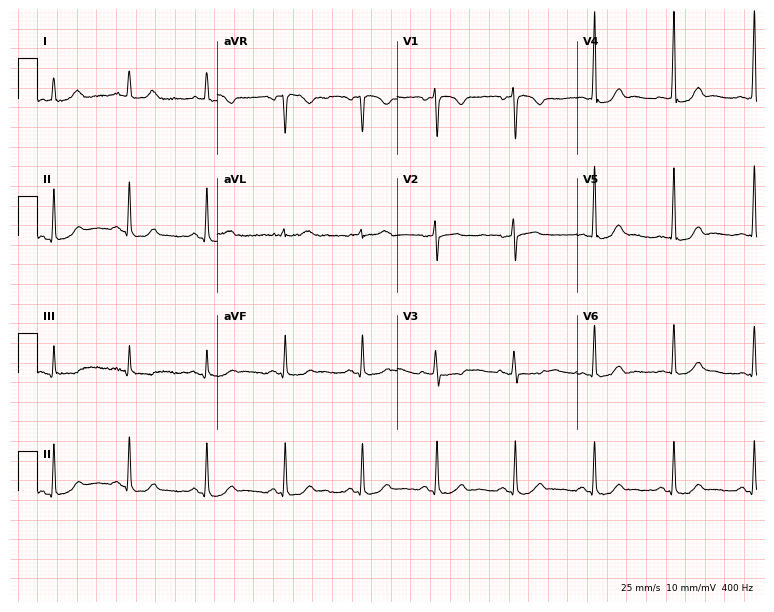
Electrocardiogram (7.3-second recording at 400 Hz), a 43-year-old female. Of the six screened findings (first-degree AV block, right bundle branch block (RBBB), left bundle branch block (LBBB), sinus bradycardia, atrial fibrillation (AF), sinus tachycardia), none is recorded. Findings outside these six are not listed.